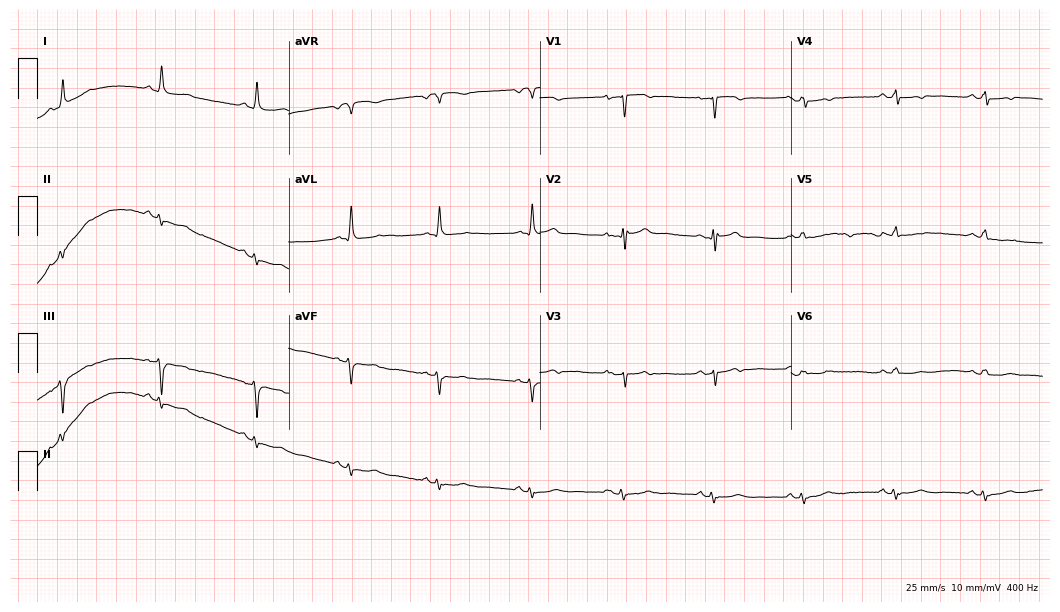
12-lead ECG from an 80-year-old male (10.2-second recording at 400 Hz). No first-degree AV block, right bundle branch block, left bundle branch block, sinus bradycardia, atrial fibrillation or sinus tachycardia recorded for this tracing. Other findings, if any, are not listed.